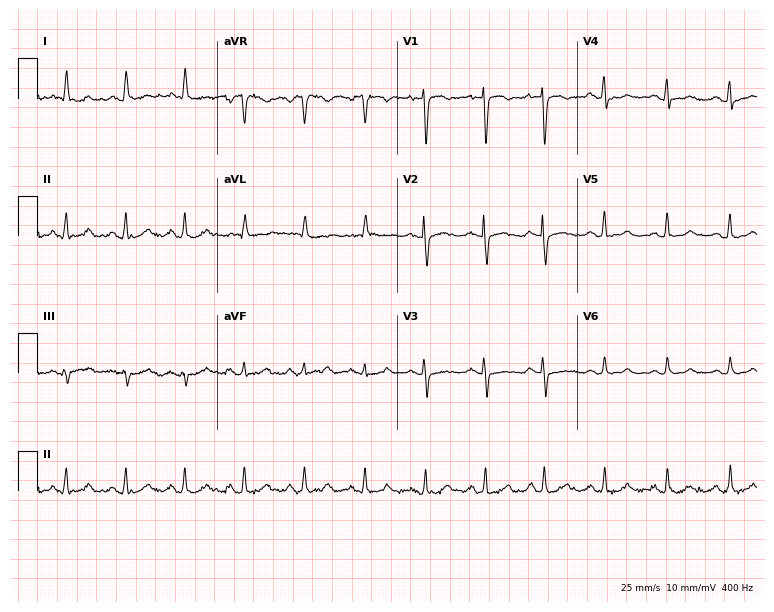
12-lead ECG from a female, 76 years old. No first-degree AV block, right bundle branch block, left bundle branch block, sinus bradycardia, atrial fibrillation or sinus tachycardia recorded for this tracing.